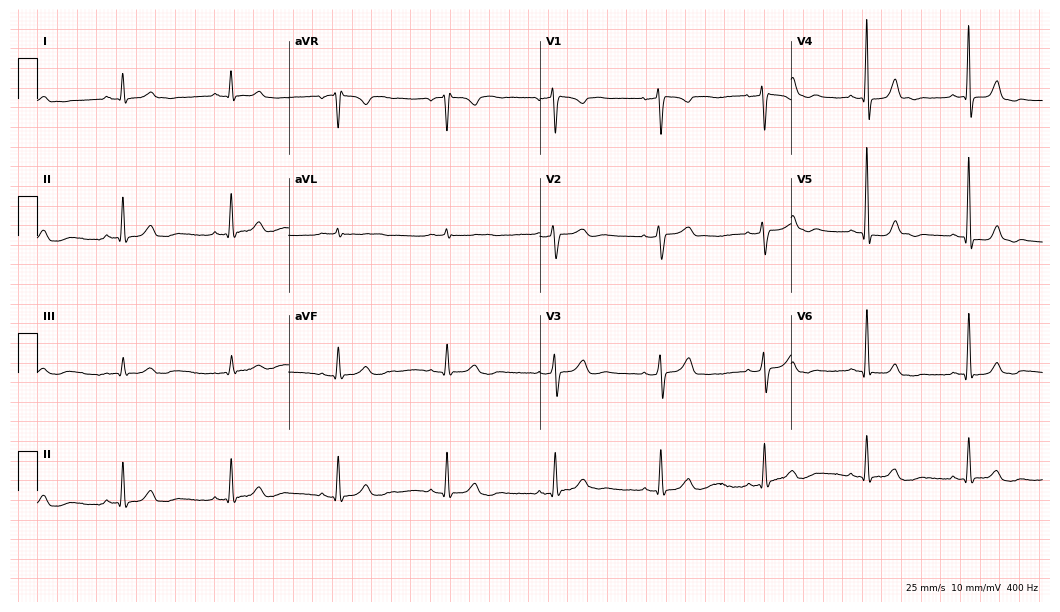
Electrocardiogram, a male patient, 59 years old. Overall reading on record: normal ECG.